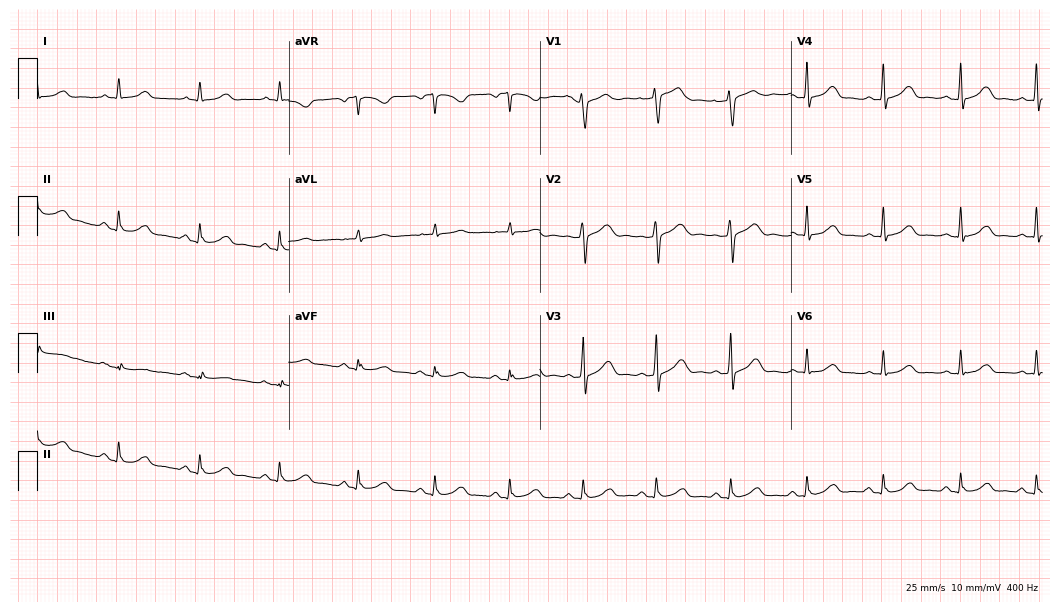
ECG (10.2-second recording at 400 Hz) — a female patient, 52 years old. Labelled as a normal ECG.